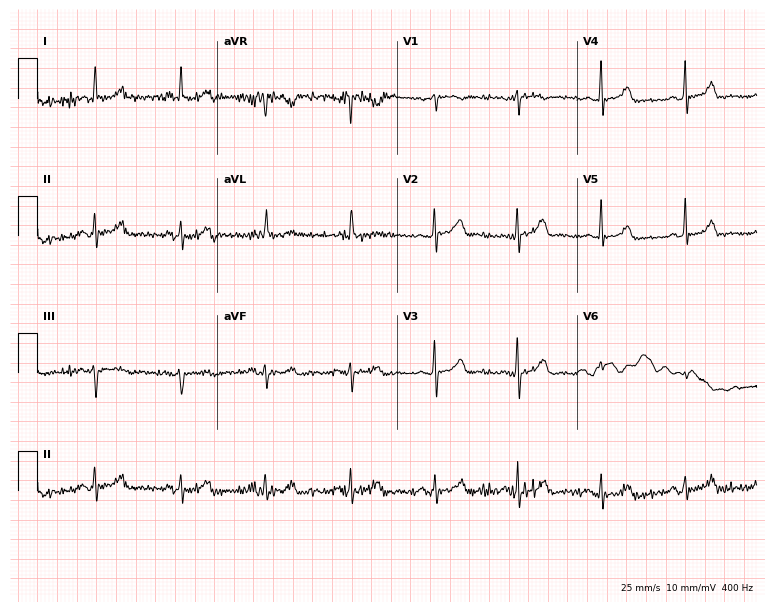
Resting 12-lead electrocardiogram (7.3-second recording at 400 Hz). Patient: a female, 67 years old. None of these six findings is recorded: first-degree AV block, right bundle branch block (RBBB), left bundle branch block (LBBB), sinus bradycardia, atrial fibrillation (AF), sinus tachycardia. Only these six findings were labelled.